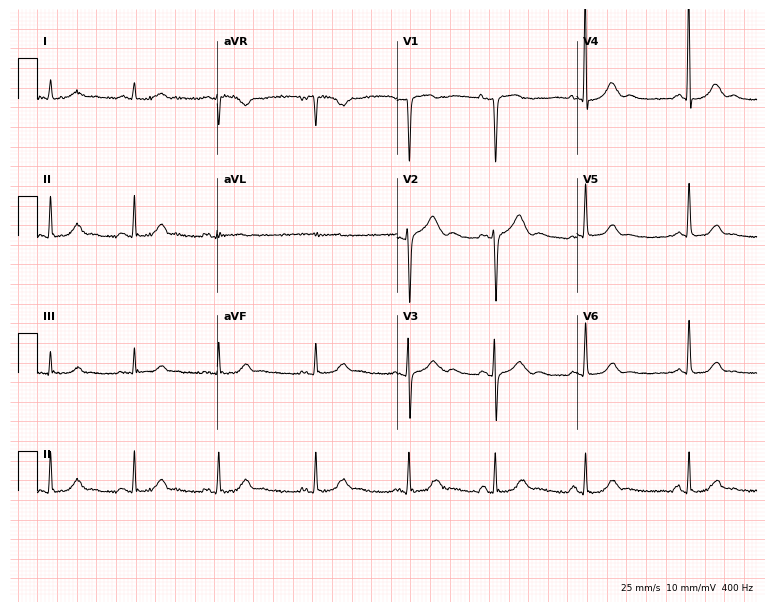
12-lead ECG from a 78-year-old female patient. Labelled as a normal ECG.